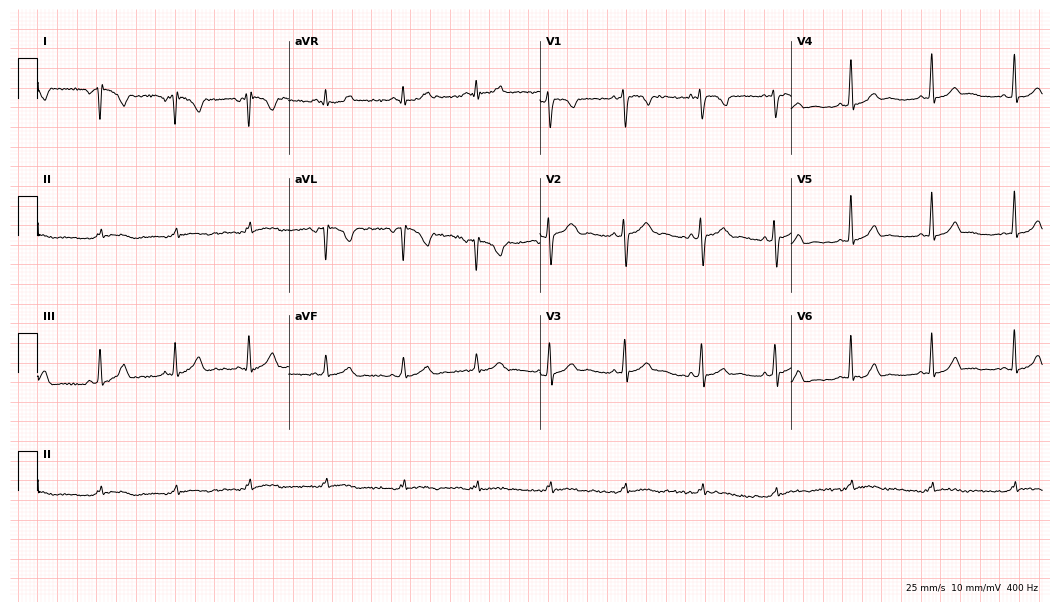
12-lead ECG from an 18-year-old female patient. Screened for six findings — first-degree AV block, right bundle branch block, left bundle branch block, sinus bradycardia, atrial fibrillation, sinus tachycardia — none is recorded.